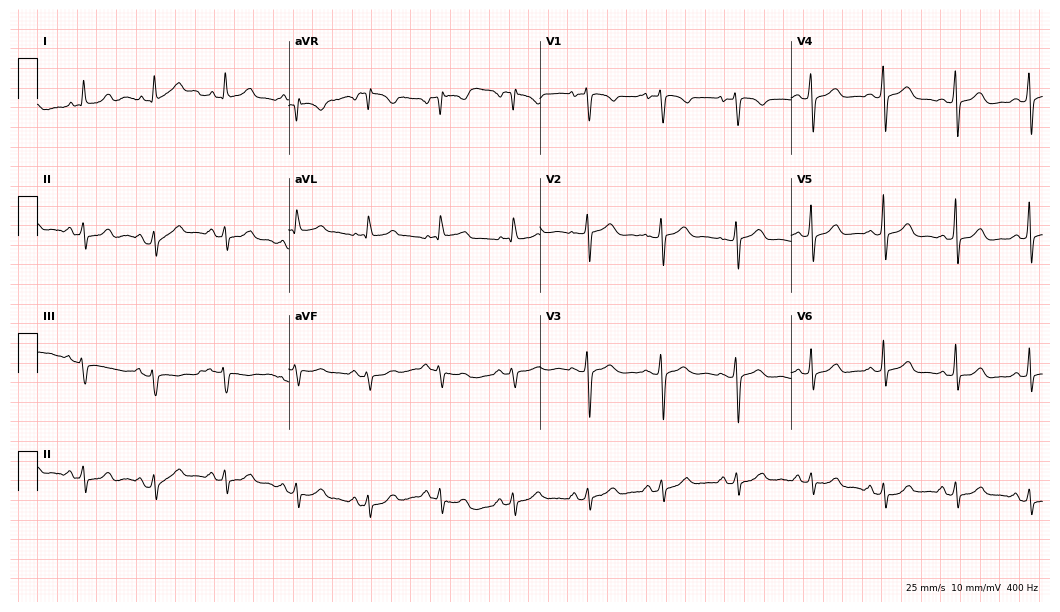
12-lead ECG from a female patient, 56 years old. Screened for six findings — first-degree AV block, right bundle branch block, left bundle branch block, sinus bradycardia, atrial fibrillation, sinus tachycardia — none is recorded. Other findings, if any, are not listed.